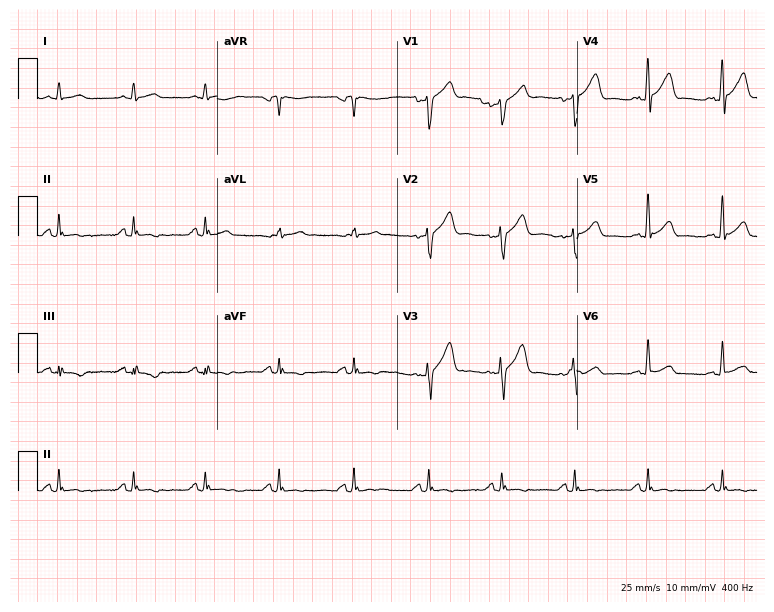
Standard 12-lead ECG recorded from a man, 49 years old (7.3-second recording at 400 Hz). None of these six findings is recorded: first-degree AV block, right bundle branch block (RBBB), left bundle branch block (LBBB), sinus bradycardia, atrial fibrillation (AF), sinus tachycardia. Findings outside these six are not listed.